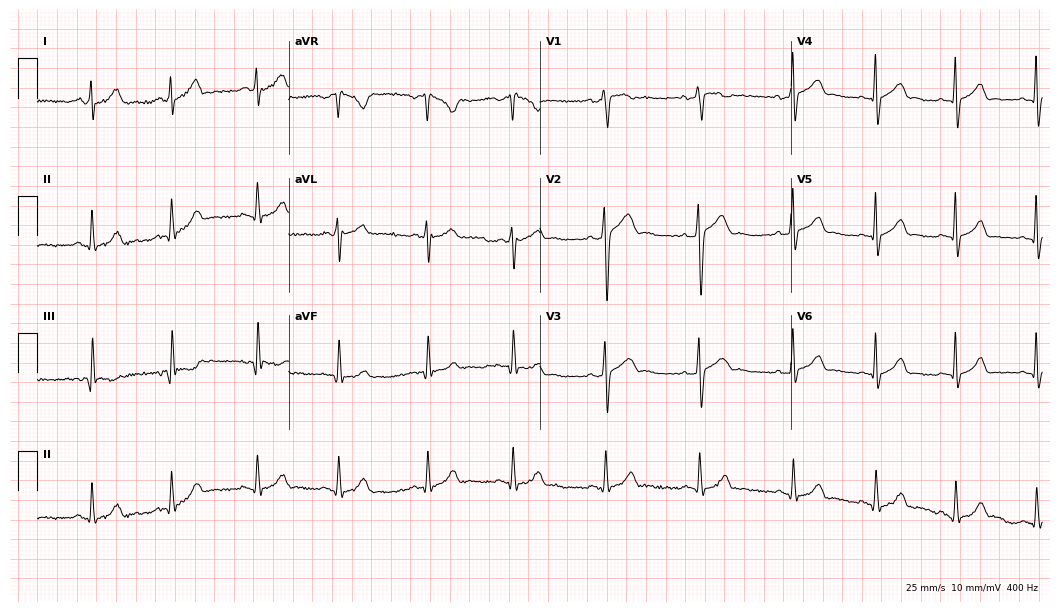
Standard 12-lead ECG recorded from a 20-year-old male patient. Read as a normal ECG.